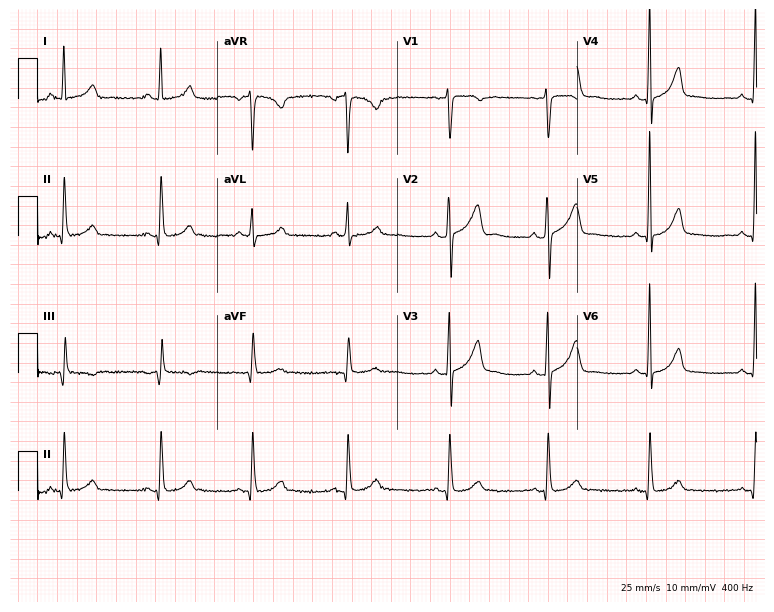
12-lead ECG (7.3-second recording at 400 Hz) from a 35-year-old woman. Screened for six findings — first-degree AV block, right bundle branch block, left bundle branch block, sinus bradycardia, atrial fibrillation, sinus tachycardia — none is recorded. Findings outside these six are not listed.